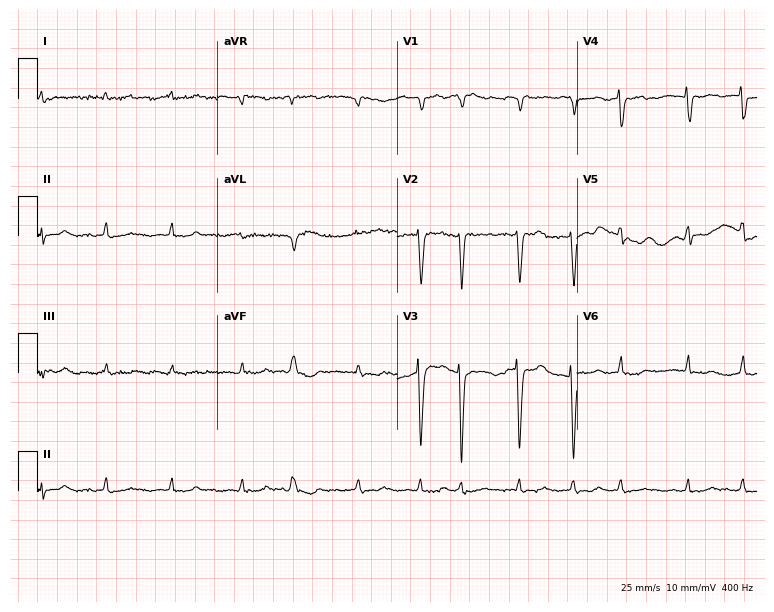
12-lead ECG from an 82-year-old male. Findings include atrial fibrillation (AF).